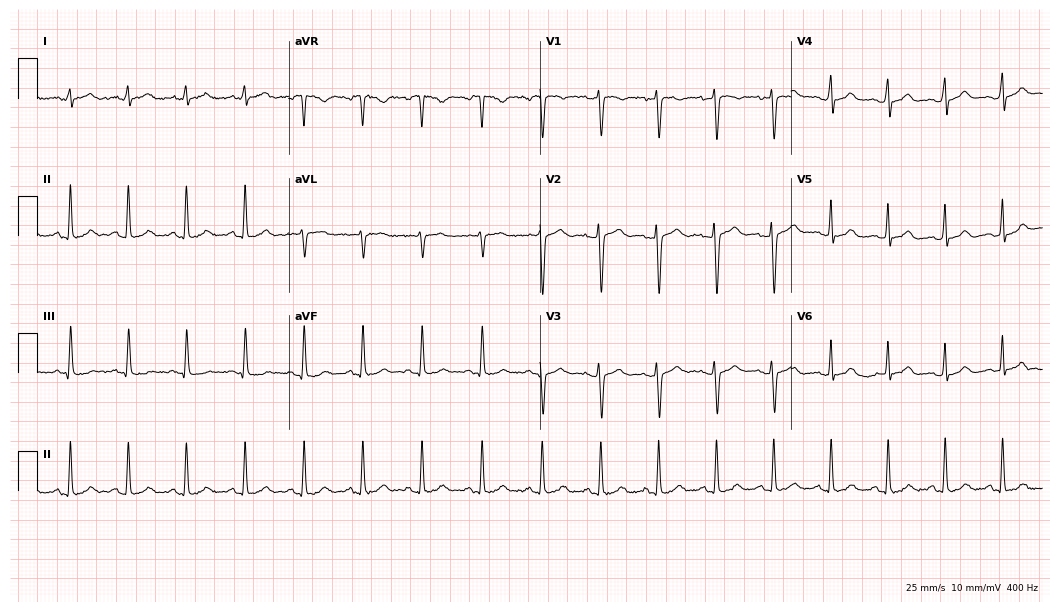
Standard 12-lead ECG recorded from a 22-year-old female (10.2-second recording at 400 Hz). The tracing shows sinus tachycardia (a sinus rate of 100 beats per minute or more).